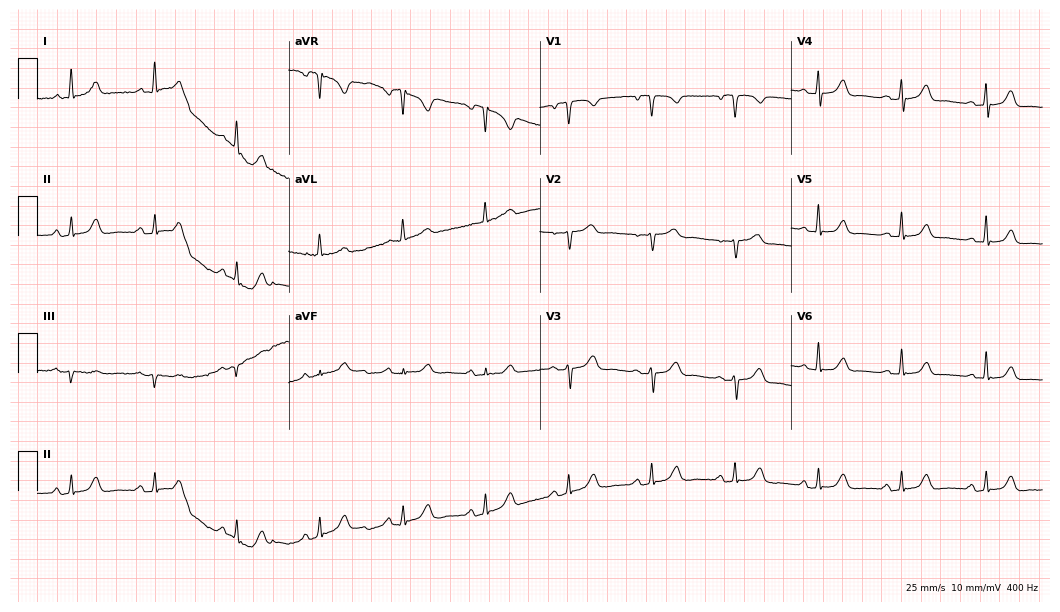
12-lead ECG from a 69-year-old female patient. Screened for six findings — first-degree AV block, right bundle branch block (RBBB), left bundle branch block (LBBB), sinus bradycardia, atrial fibrillation (AF), sinus tachycardia — none is recorded.